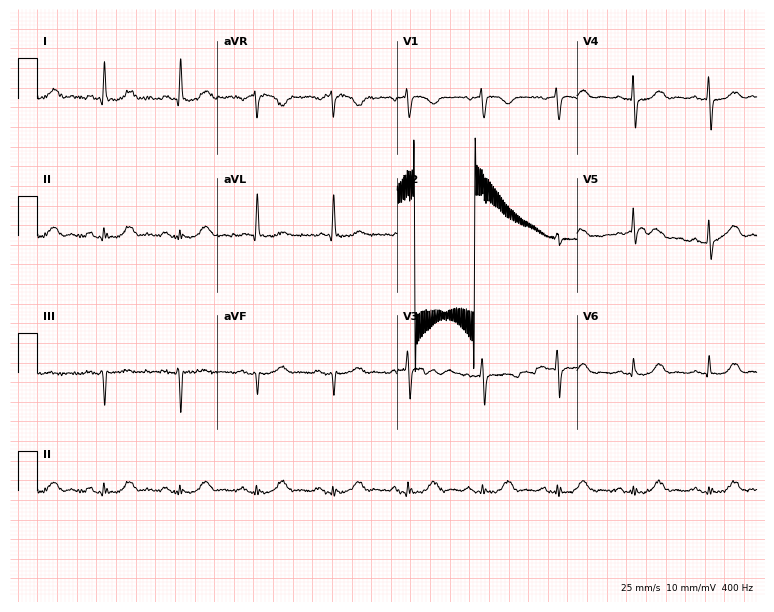
Resting 12-lead electrocardiogram. Patient: a woman, 77 years old. None of these six findings is recorded: first-degree AV block, right bundle branch block (RBBB), left bundle branch block (LBBB), sinus bradycardia, atrial fibrillation (AF), sinus tachycardia.